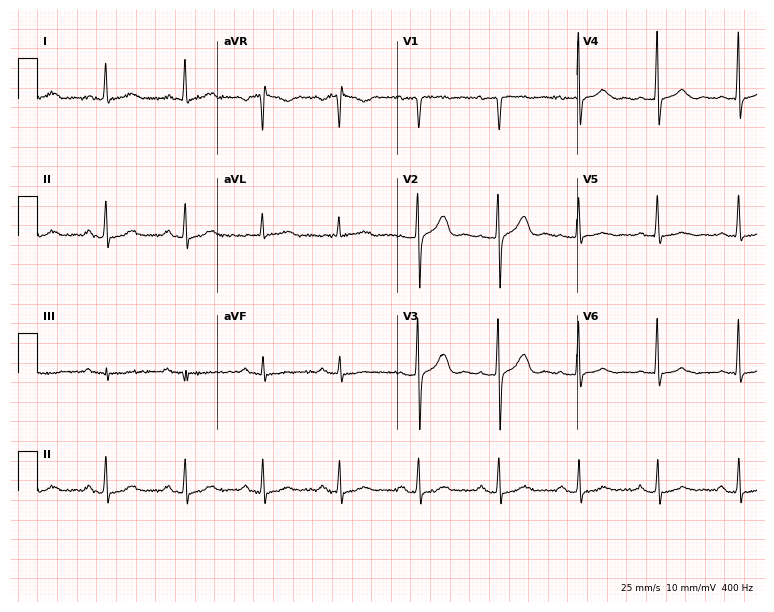
Standard 12-lead ECG recorded from a female patient, 63 years old. None of these six findings is recorded: first-degree AV block, right bundle branch block (RBBB), left bundle branch block (LBBB), sinus bradycardia, atrial fibrillation (AF), sinus tachycardia. Findings outside these six are not listed.